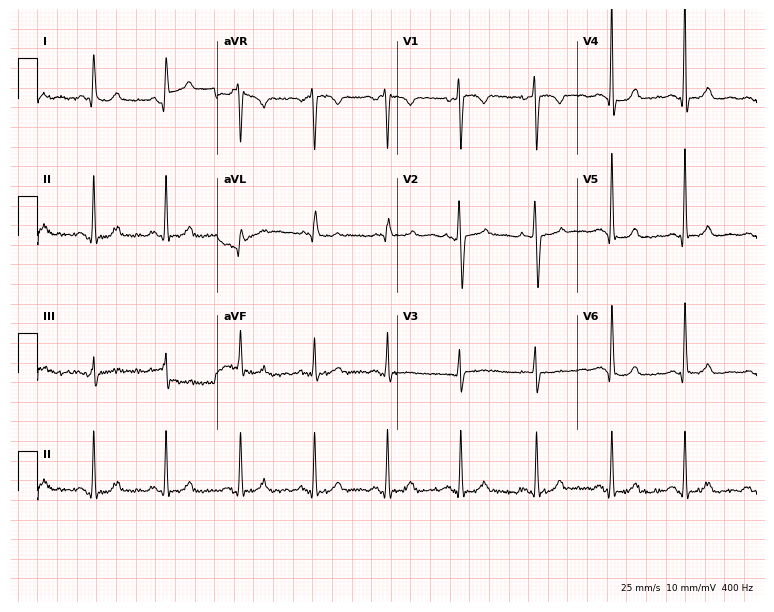
ECG (7.3-second recording at 400 Hz) — a woman, 54 years old. Screened for six findings — first-degree AV block, right bundle branch block, left bundle branch block, sinus bradycardia, atrial fibrillation, sinus tachycardia — none is recorded. Findings outside these six are not listed.